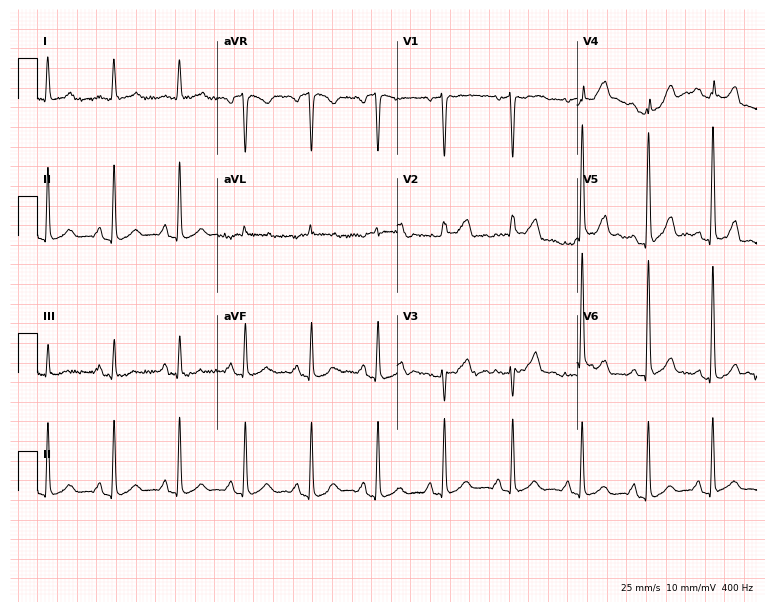
12-lead ECG (7.3-second recording at 400 Hz) from a female patient, 62 years old. Screened for six findings — first-degree AV block, right bundle branch block, left bundle branch block, sinus bradycardia, atrial fibrillation, sinus tachycardia — none is recorded. Only these six findings were labelled.